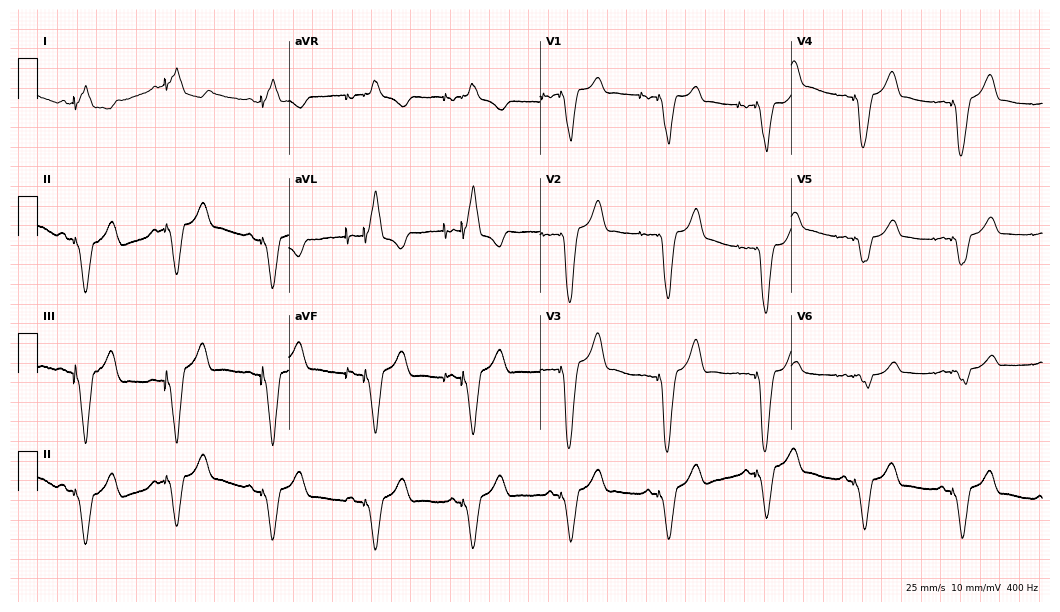
Standard 12-lead ECG recorded from a woman, 45 years old (10.2-second recording at 400 Hz). None of these six findings is recorded: first-degree AV block, right bundle branch block, left bundle branch block, sinus bradycardia, atrial fibrillation, sinus tachycardia. Other findings, if any, are not listed.